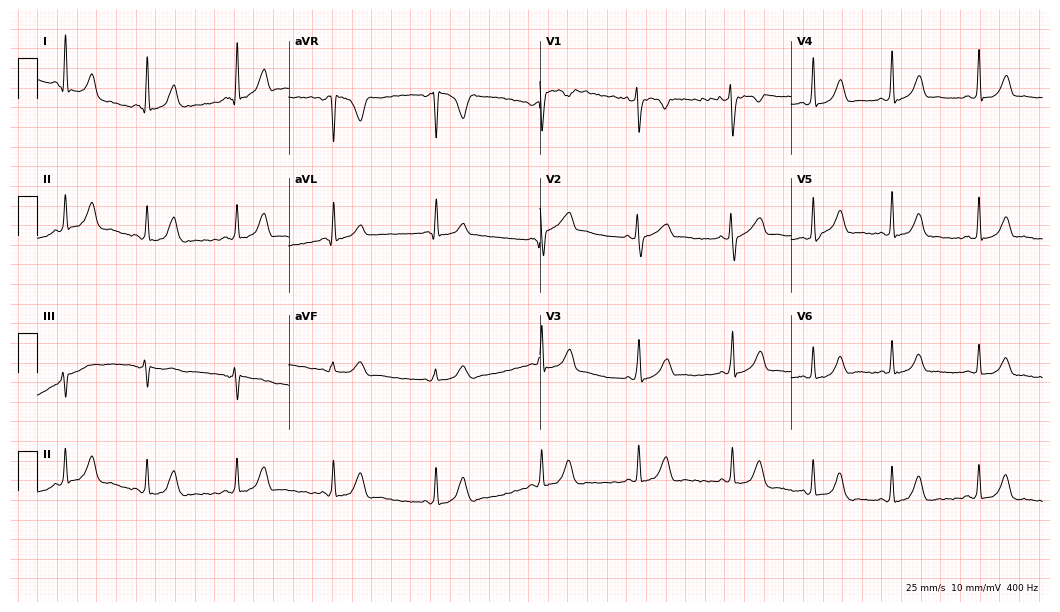
12-lead ECG from a woman, 30 years old. Labelled as a normal ECG.